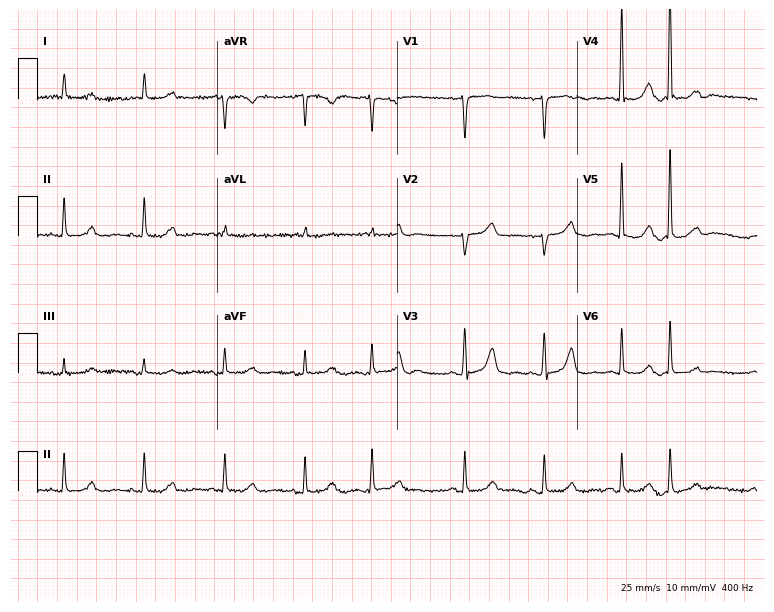
12-lead ECG (7.3-second recording at 400 Hz) from a 76-year-old female patient. Labelled as a normal ECG.